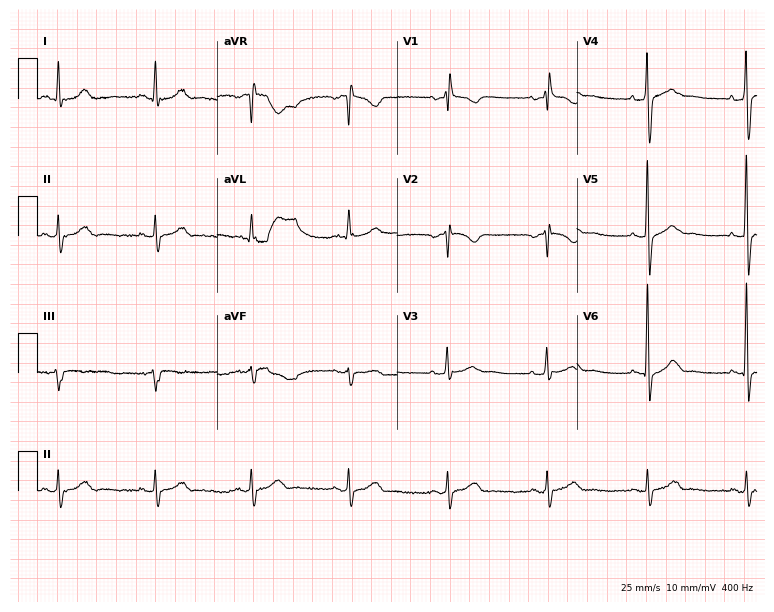
12-lead ECG from a 60-year-old male (7.3-second recording at 400 Hz). No first-degree AV block, right bundle branch block (RBBB), left bundle branch block (LBBB), sinus bradycardia, atrial fibrillation (AF) or sinus tachycardia recorded for this tracing.